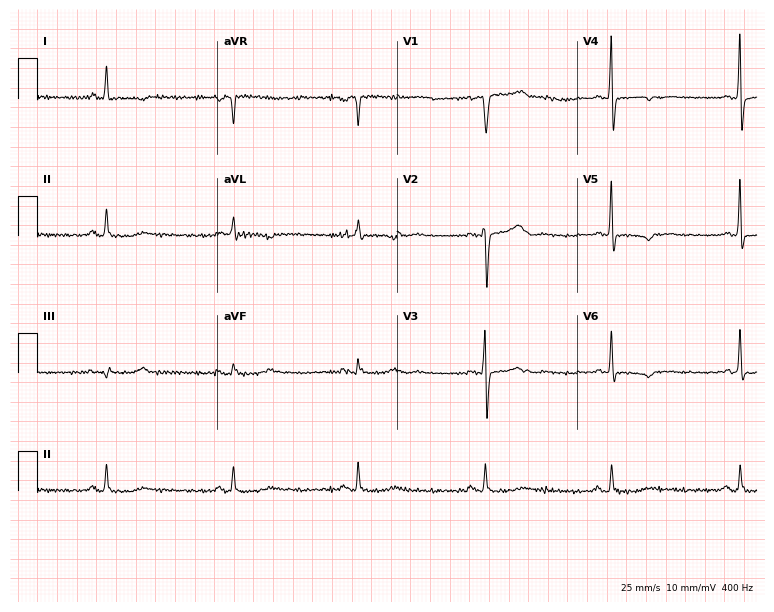
12-lead ECG from a woman, 67 years old. Shows sinus bradycardia (a sinus rate of 50 beats per minute or less).